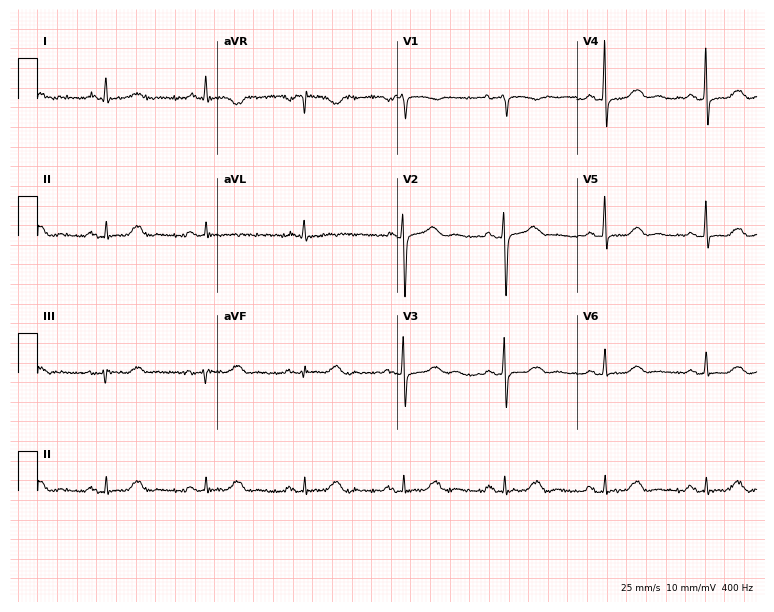
Resting 12-lead electrocardiogram. Patient: an 83-year-old female. Read as a normal ECG.